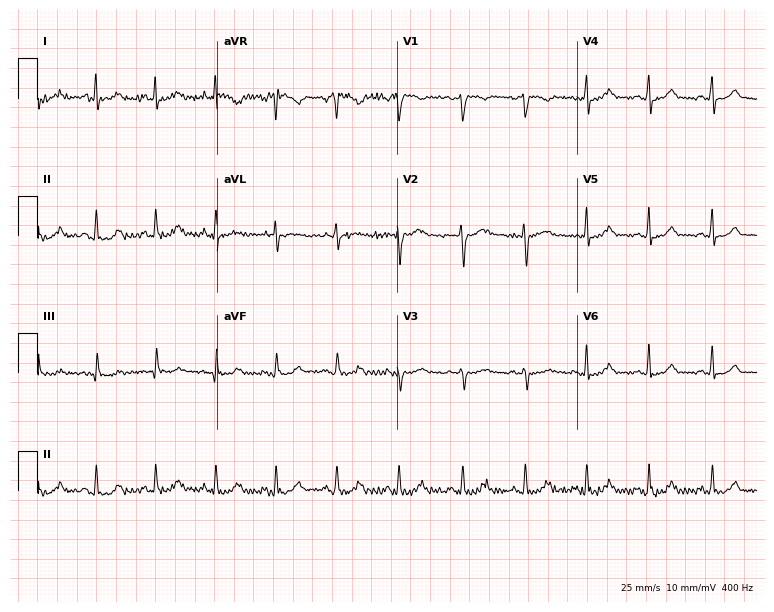
12-lead ECG (7.3-second recording at 400 Hz) from a 42-year-old woman. Labelled as a normal ECG.